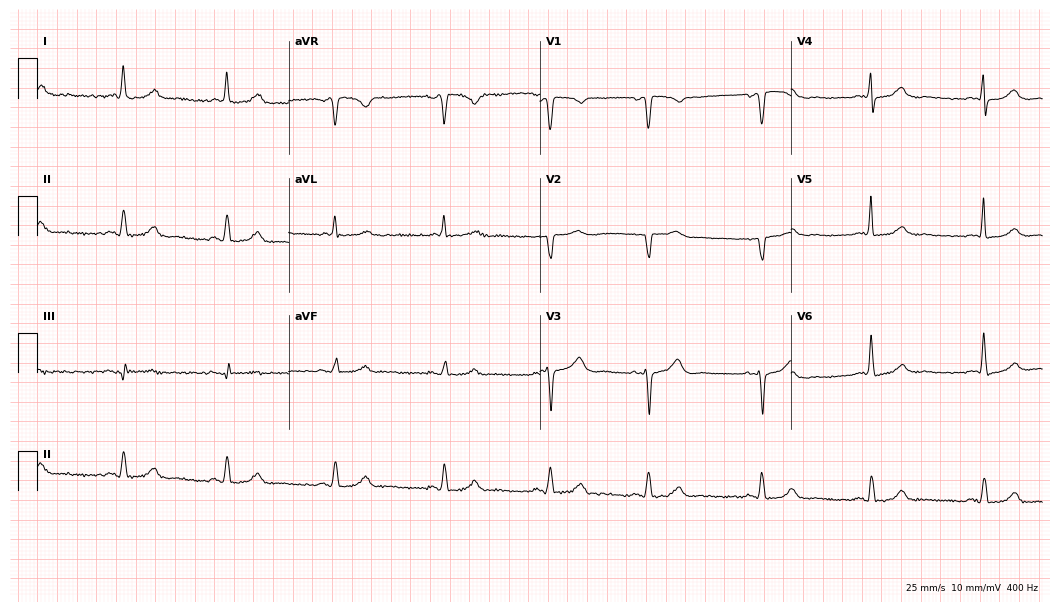
ECG — a 67-year-old female patient. Screened for six findings — first-degree AV block, right bundle branch block (RBBB), left bundle branch block (LBBB), sinus bradycardia, atrial fibrillation (AF), sinus tachycardia — none is recorded.